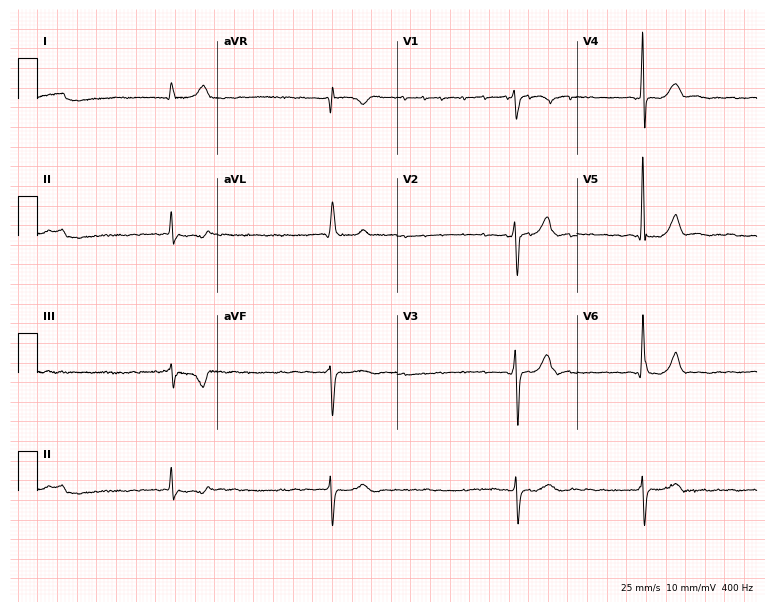
Resting 12-lead electrocardiogram. Patient: a 70-year-old male. The tracing shows atrial fibrillation.